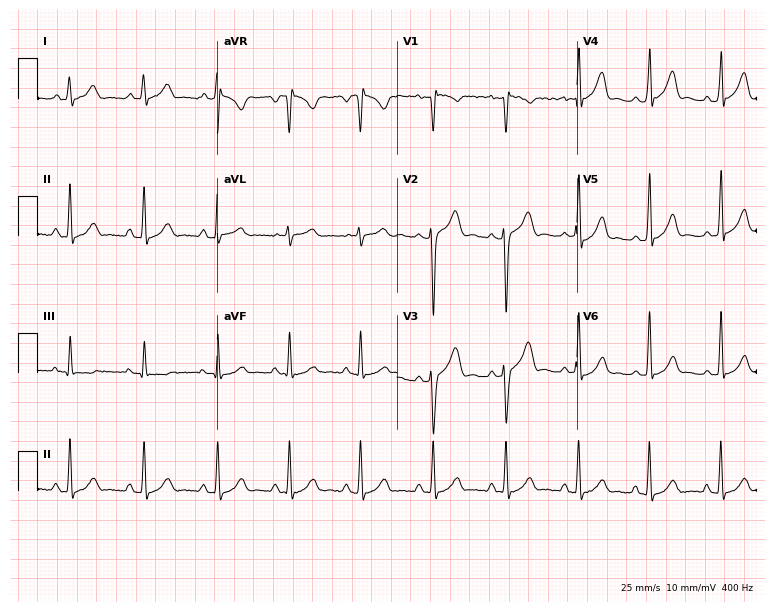
12-lead ECG from a male, 23 years old. No first-degree AV block, right bundle branch block (RBBB), left bundle branch block (LBBB), sinus bradycardia, atrial fibrillation (AF) or sinus tachycardia recorded for this tracing.